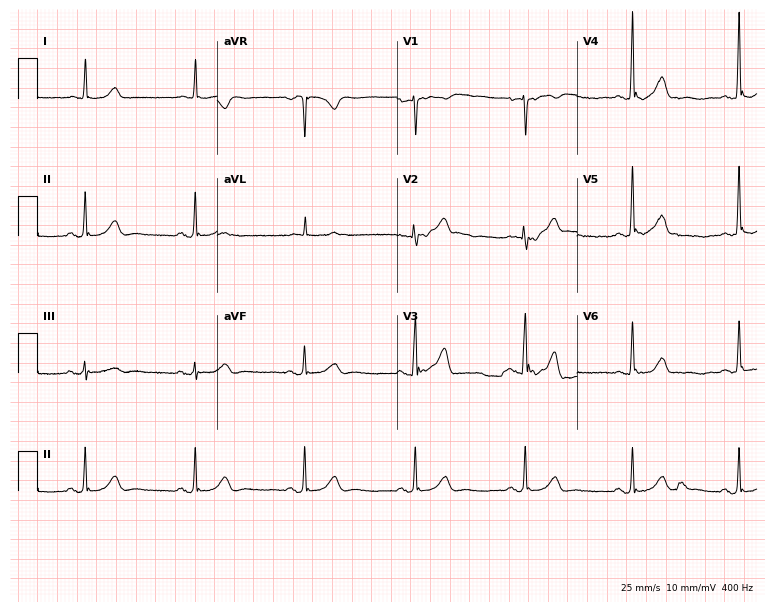
12-lead ECG from a 77-year-old man. Labelled as a normal ECG.